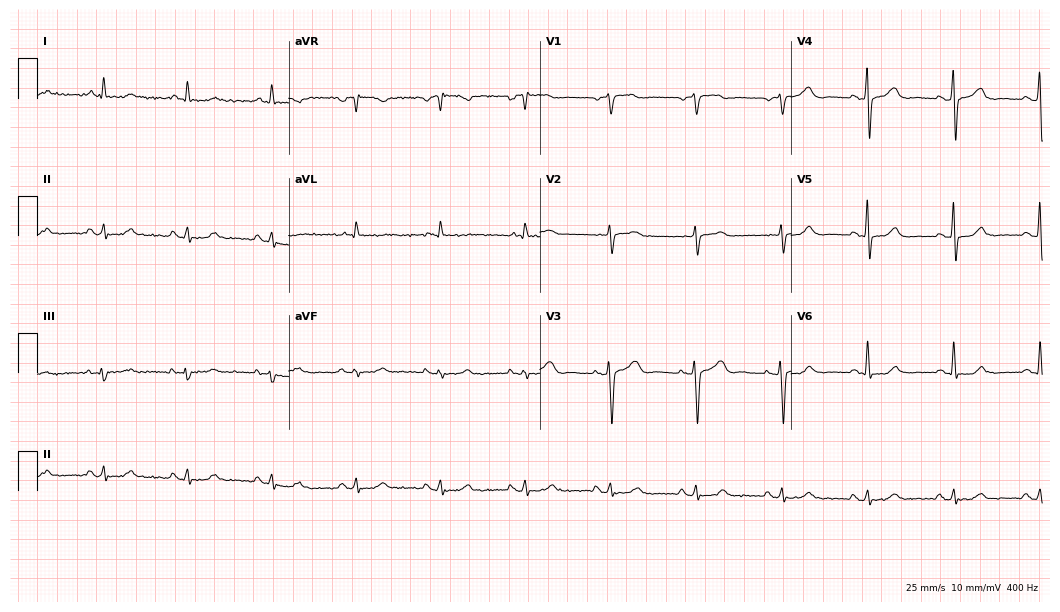
12-lead ECG from an 82-year-old man. Labelled as a normal ECG.